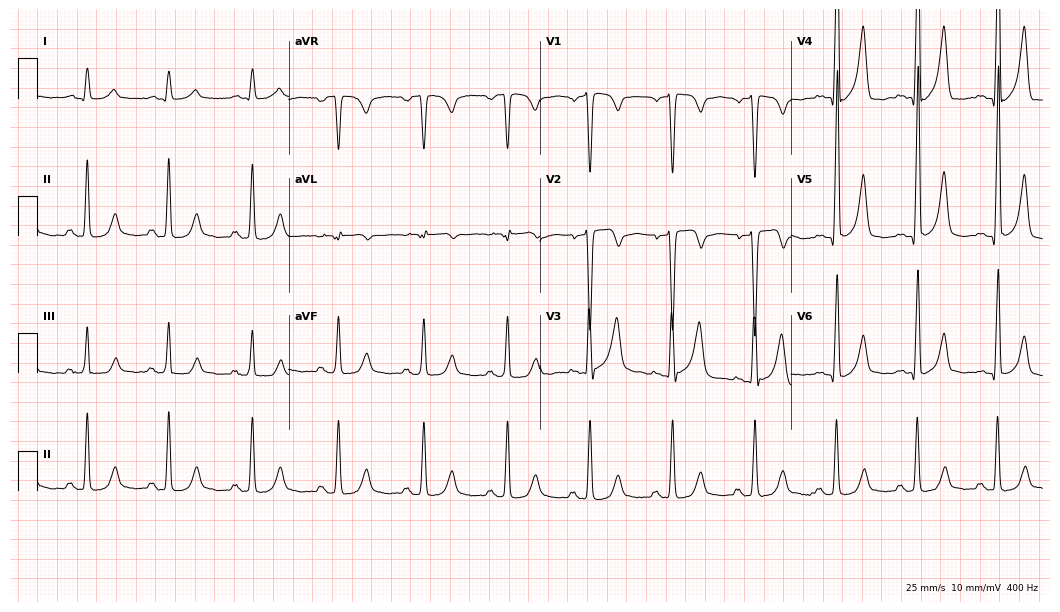
12-lead ECG from a male patient, 34 years old. Screened for six findings — first-degree AV block, right bundle branch block (RBBB), left bundle branch block (LBBB), sinus bradycardia, atrial fibrillation (AF), sinus tachycardia — none is recorded.